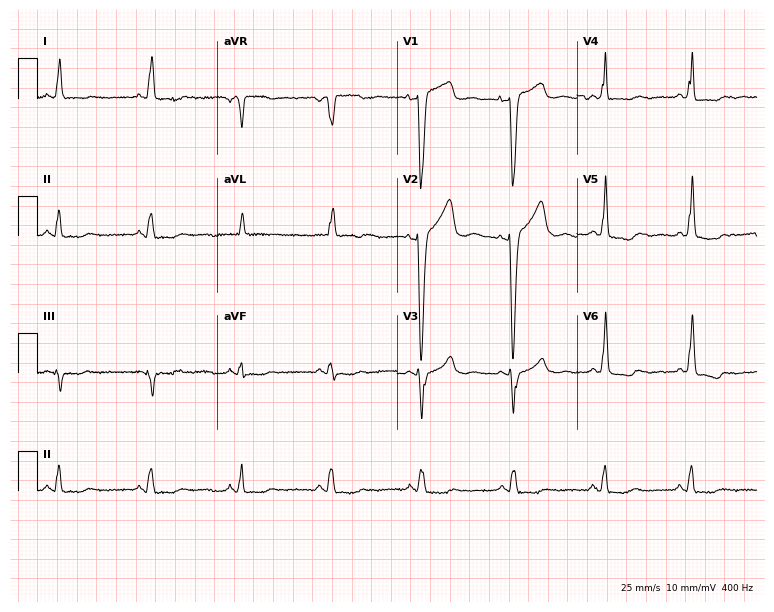
12-lead ECG (7.3-second recording at 400 Hz) from a 48-year-old woman. Screened for six findings — first-degree AV block, right bundle branch block, left bundle branch block, sinus bradycardia, atrial fibrillation, sinus tachycardia — none is recorded.